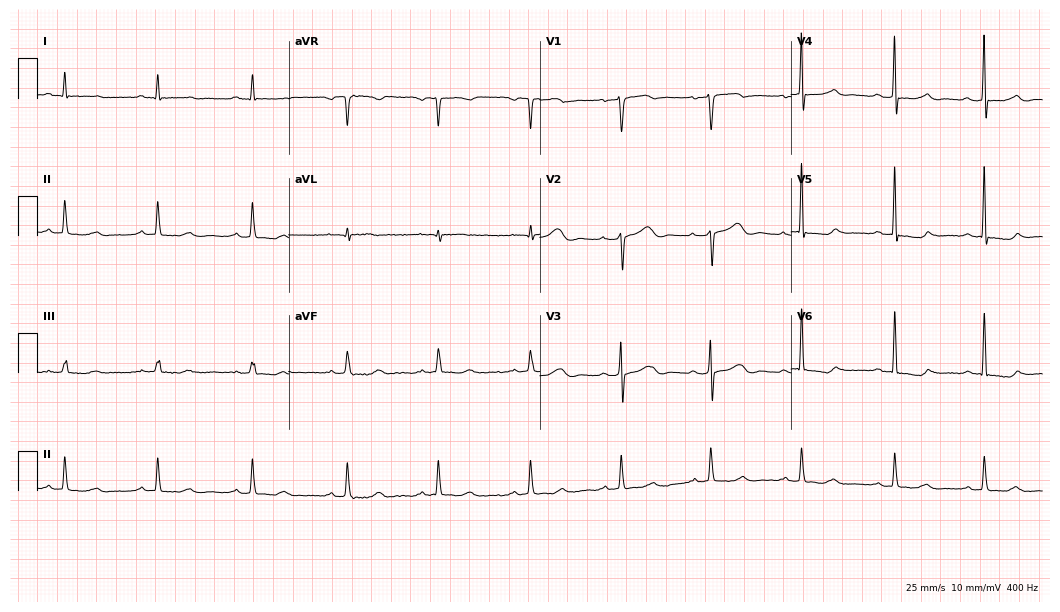
Electrocardiogram, a 71-year-old female patient. Of the six screened findings (first-degree AV block, right bundle branch block (RBBB), left bundle branch block (LBBB), sinus bradycardia, atrial fibrillation (AF), sinus tachycardia), none is recorded.